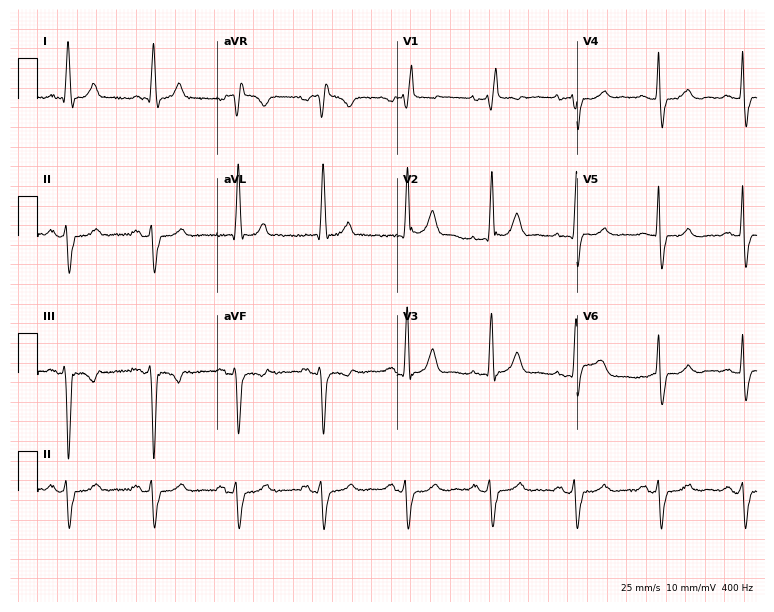
12-lead ECG from a female patient, 75 years old. Findings include right bundle branch block.